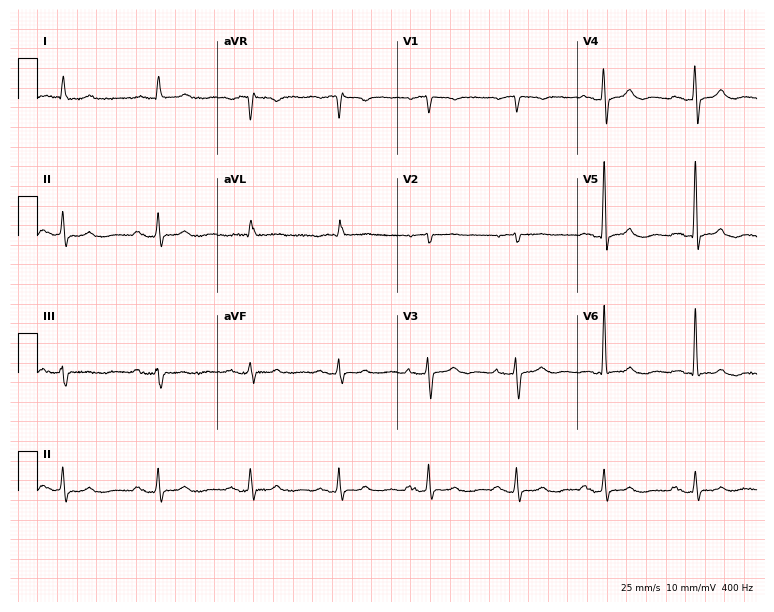
Standard 12-lead ECG recorded from an 83-year-old female (7.3-second recording at 400 Hz). Read as a normal ECG.